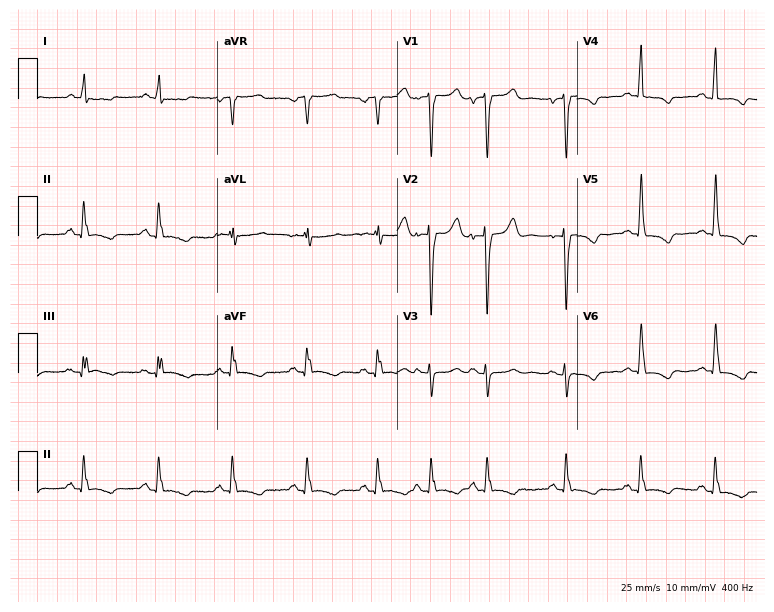
ECG — a 78-year-old female patient. Screened for six findings — first-degree AV block, right bundle branch block, left bundle branch block, sinus bradycardia, atrial fibrillation, sinus tachycardia — none is recorded. Only these six findings were labelled.